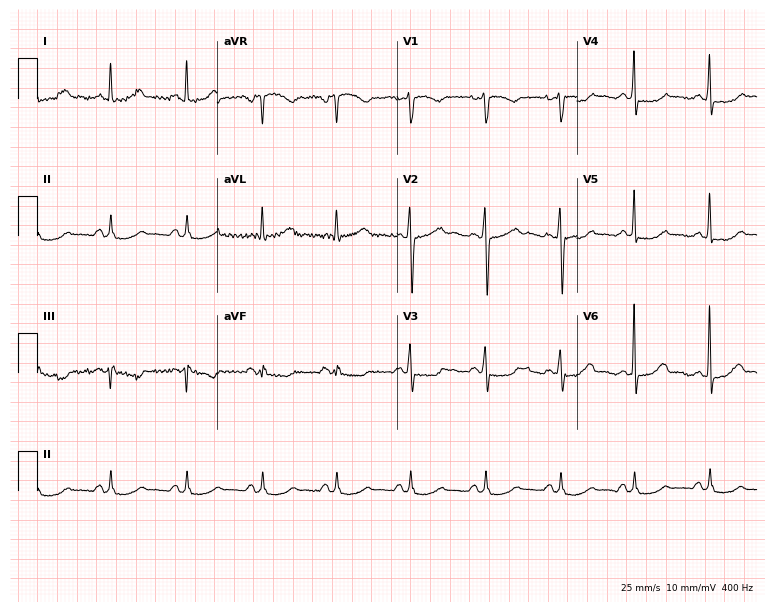
Standard 12-lead ECG recorded from a female patient, 49 years old. None of these six findings is recorded: first-degree AV block, right bundle branch block (RBBB), left bundle branch block (LBBB), sinus bradycardia, atrial fibrillation (AF), sinus tachycardia. Other findings, if any, are not listed.